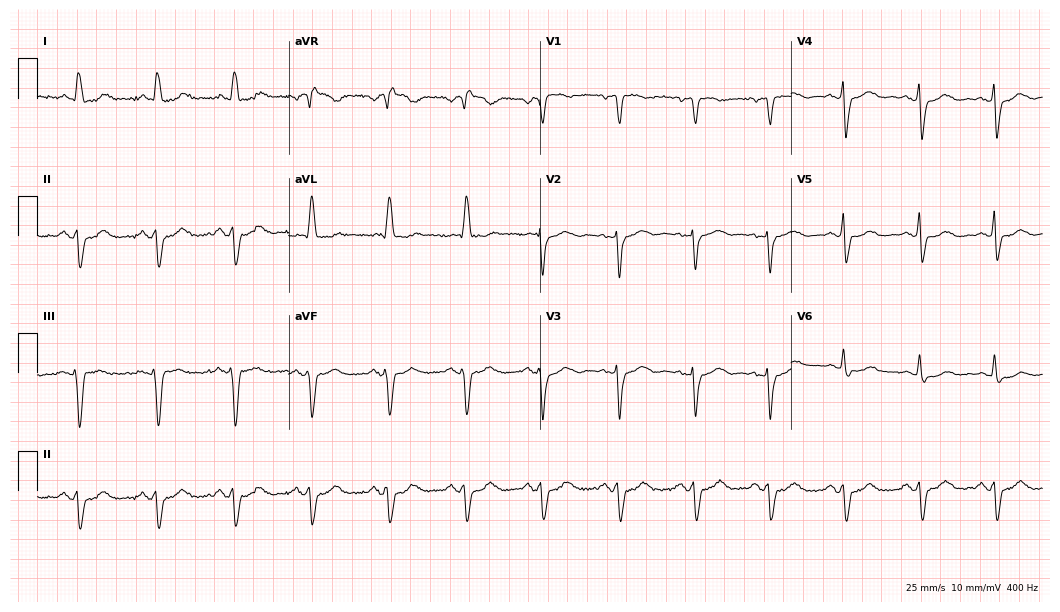
ECG — a female, 77 years old. Findings include left bundle branch block.